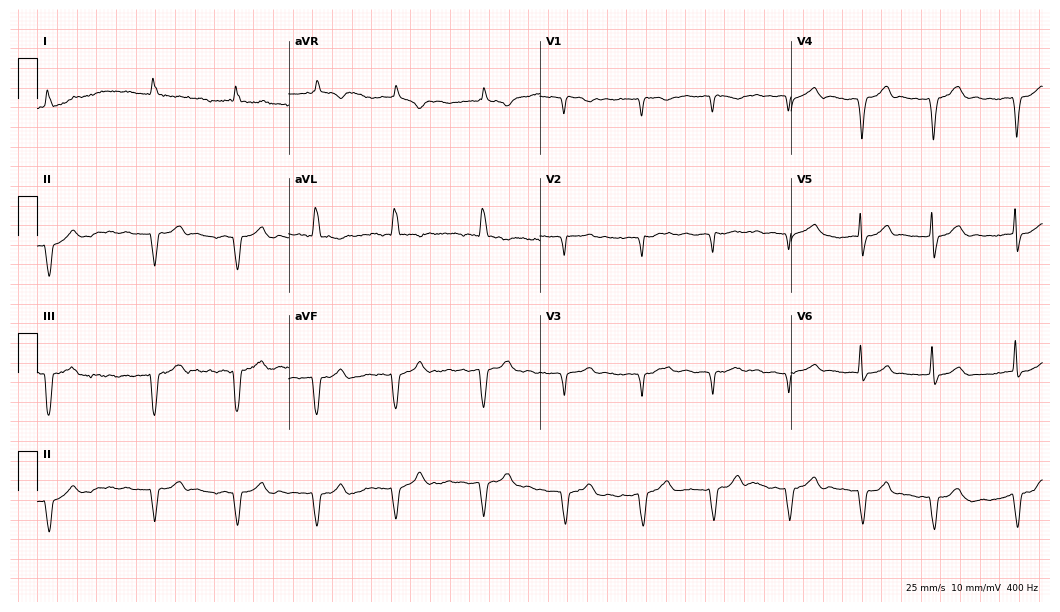
Resting 12-lead electrocardiogram (10.2-second recording at 400 Hz). Patient: a man, 85 years old. None of these six findings is recorded: first-degree AV block, right bundle branch block, left bundle branch block, sinus bradycardia, atrial fibrillation, sinus tachycardia.